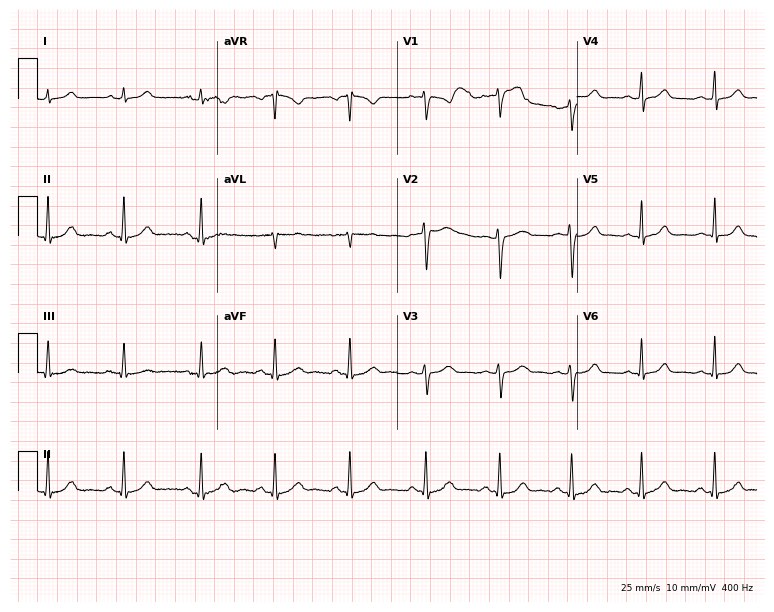
Standard 12-lead ECG recorded from a 44-year-old male. Read as a normal ECG.